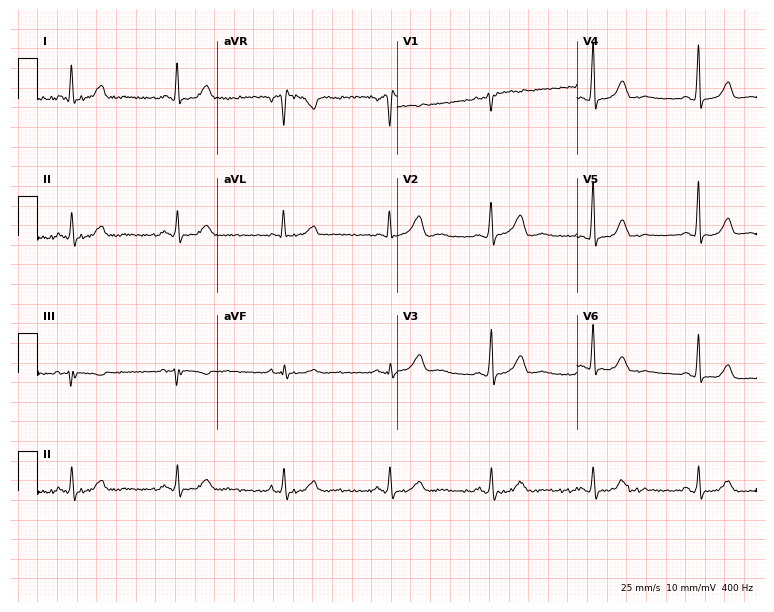
ECG (7.3-second recording at 400 Hz) — a 45-year-old female. Screened for six findings — first-degree AV block, right bundle branch block (RBBB), left bundle branch block (LBBB), sinus bradycardia, atrial fibrillation (AF), sinus tachycardia — none is recorded. Findings outside these six are not listed.